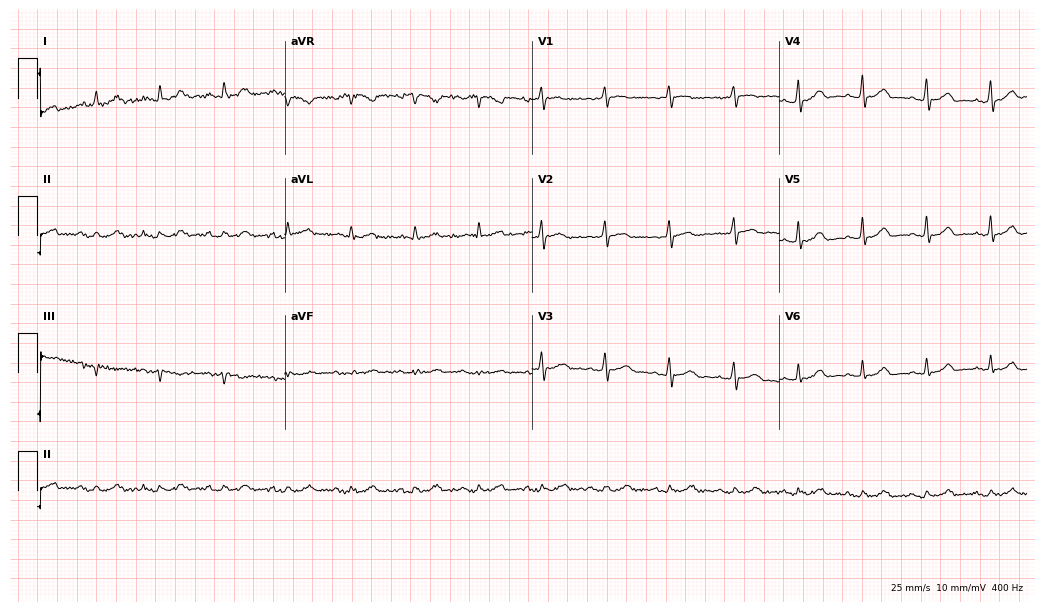
12-lead ECG from a female, 66 years old. Labelled as a normal ECG.